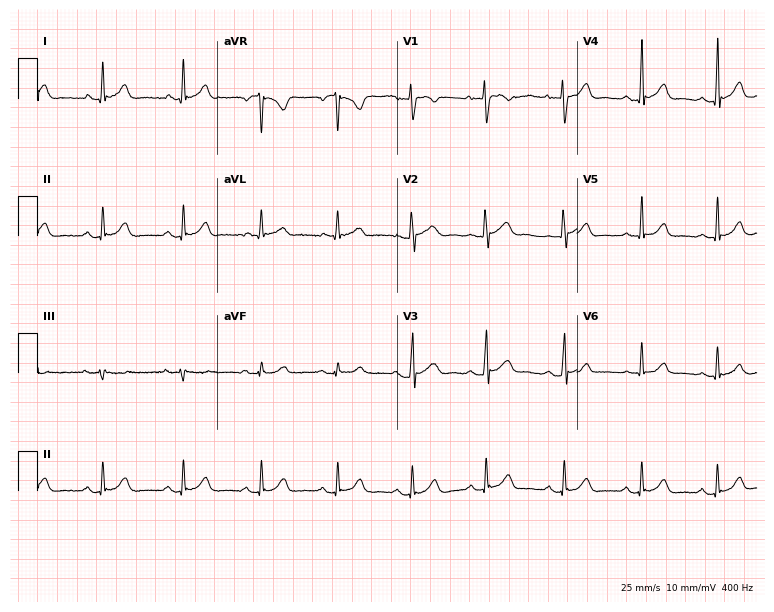
12-lead ECG from a man, 25 years old. Labelled as a normal ECG.